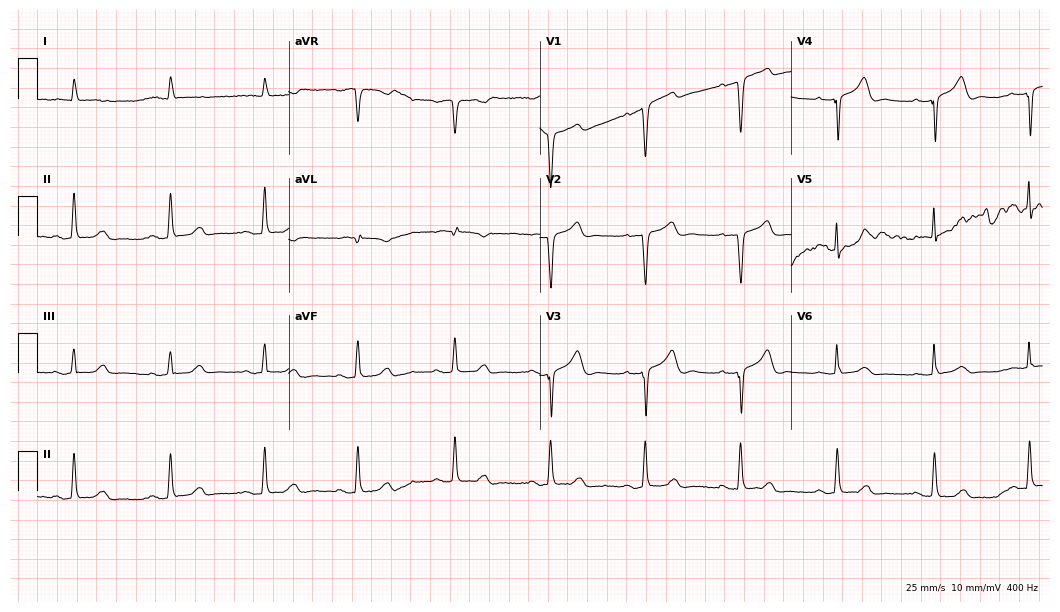
Electrocardiogram, a male patient, 73 years old. Of the six screened findings (first-degree AV block, right bundle branch block (RBBB), left bundle branch block (LBBB), sinus bradycardia, atrial fibrillation (AF), sinus tachycardia), none is recorded.